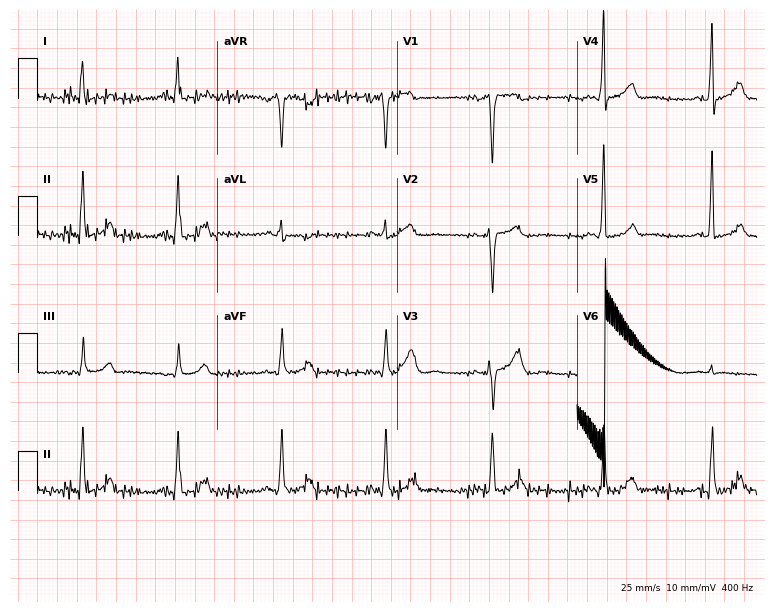
Resting 12-lead electrocardiogram (7.3-second recording at 400 Hz). Patient: a 65-year-old woman. None of these six findings is recorded: first-degree AV block, right bundle branch block (RBBB), left bundle branch block (LBBB), sinus bradycardia, atrial fibrillation (AF), sinus tachycardia. Other findings, if any, are not listed.